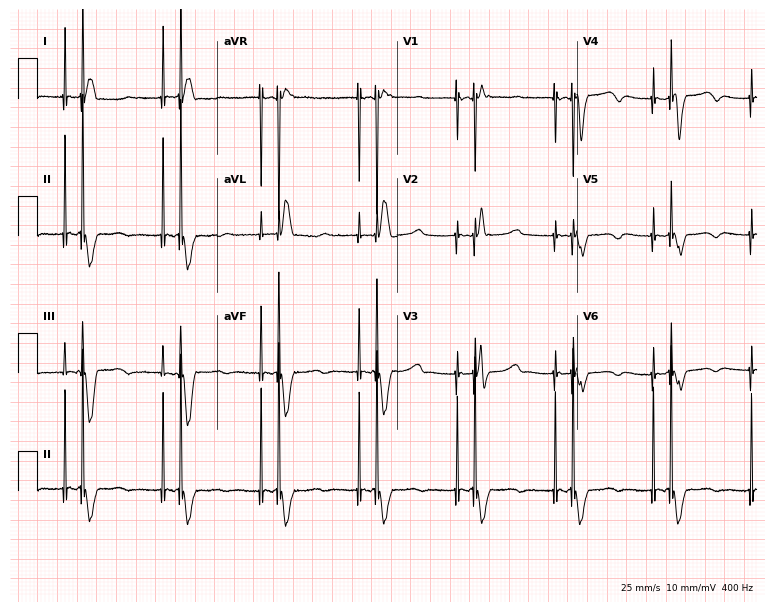
Electrocardiogram (7.3-second recording at 400 Hz), a male, 75 years old. Of the six screened findings (first-degree AV block, right bundle branch block, left bundle branch block, sinus bradycardia, atrial fibrillation, sinus tachycardia), none is recorded.